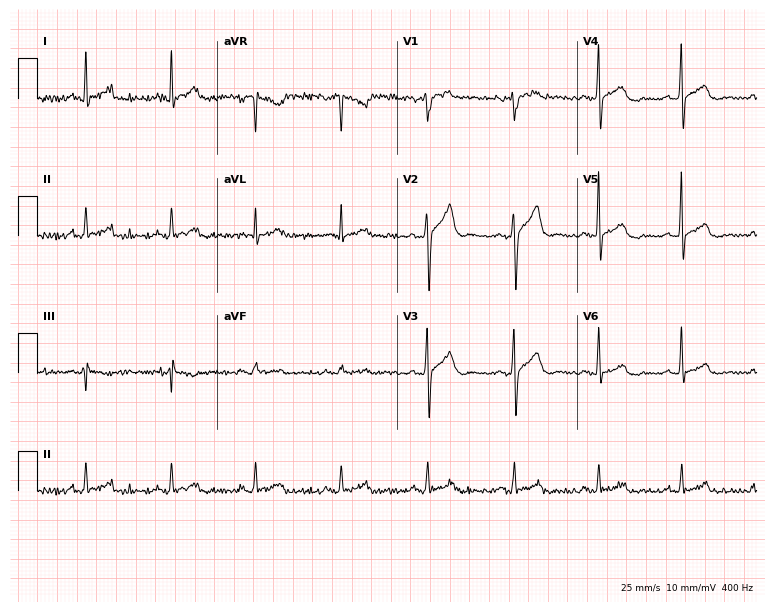
ECG (7.3-second recording at 400 Hz) — a male, 52 years old. Labelled as a normal ECG.